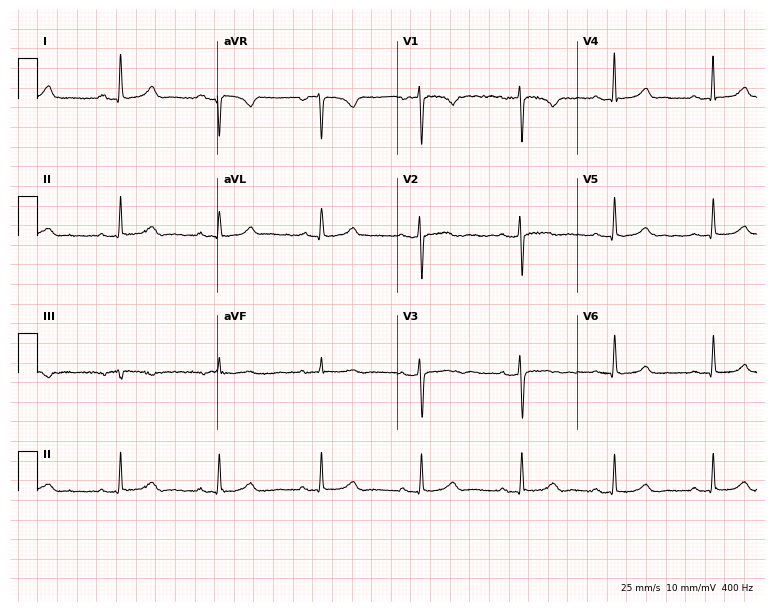
12-lead ECG from a female, 59 years old (7.3-second recording at 400 Hz). No first-degree AV block, right bundle branch block, left bundle branch block, sinus bradycardia, atrial fibrillation or sinus tachycardia recorded for this tracing. Findings outside these six are not listed.